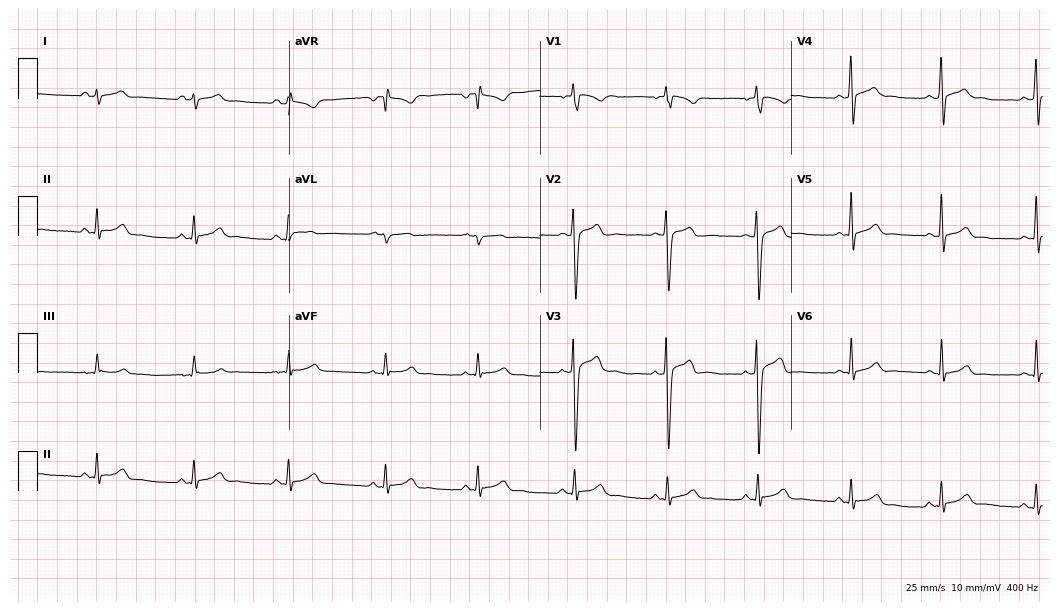
ECG — a male, 22 years old. Labelled as a normal ECG.